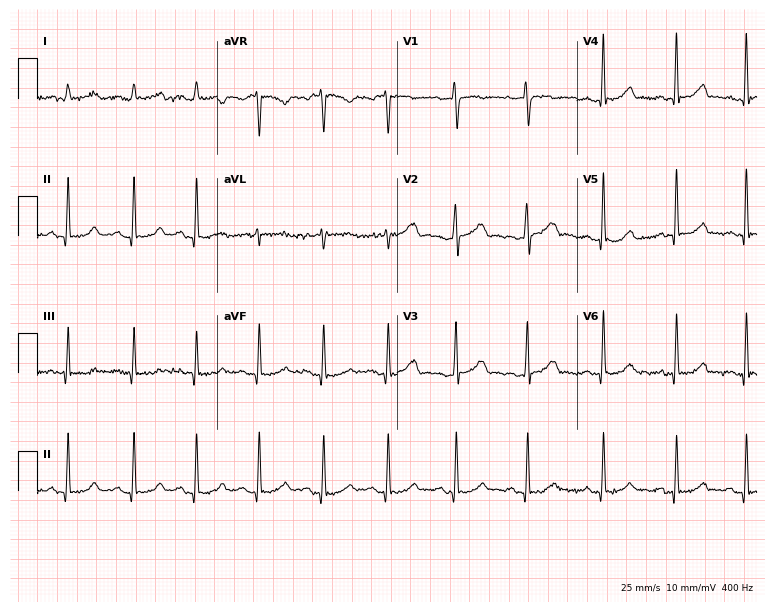
12-lead ECG from a 23-year-old female patient (7.3-second recording at 400 Hz). Recorded interpretation: within normal limits.